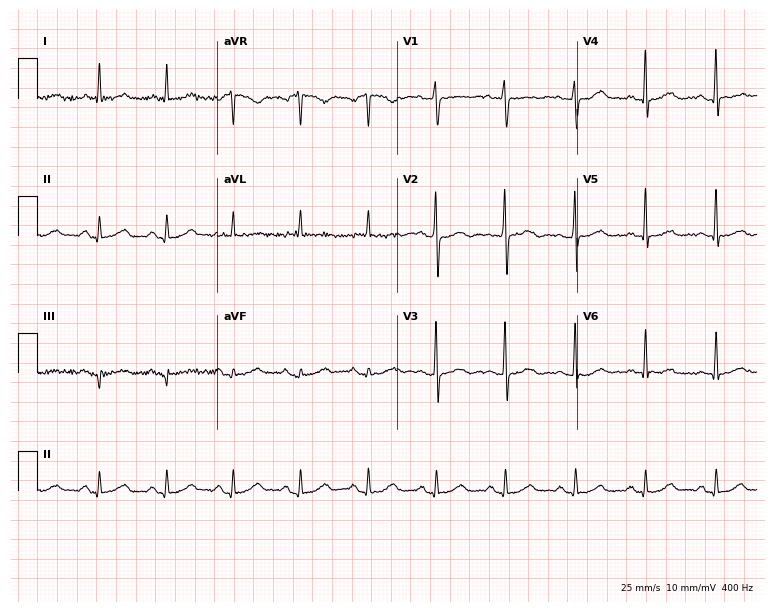
Standard 12-lead ECG recorded from a female, 63 years old. None of these six findings is recorded: first-degree AV block, right bundle branch block (RBBB), left bundle branch block (LBBB), sinus bradycardia, atrial fibrillation (AF), sinus tachycardia. Findings outside these six are not listed.